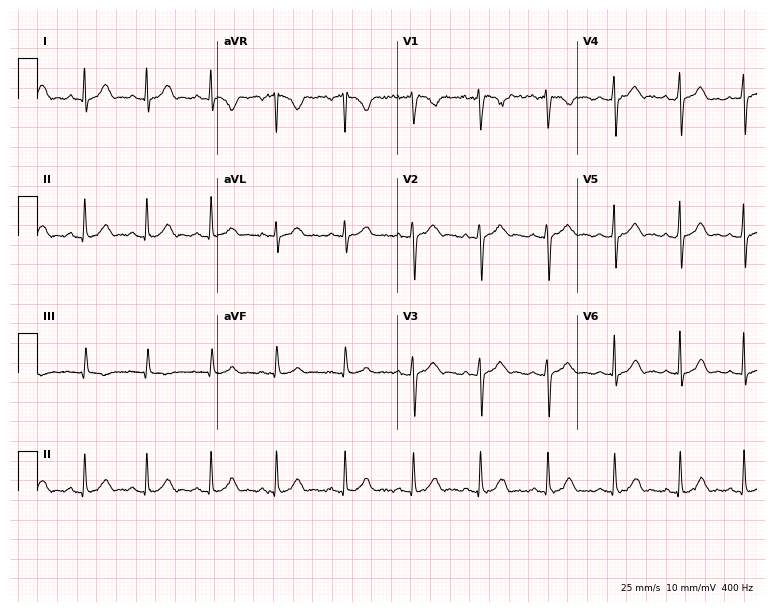
Electrocardiogram, a 24-year-old female. Overall reading on record: normal ECG.